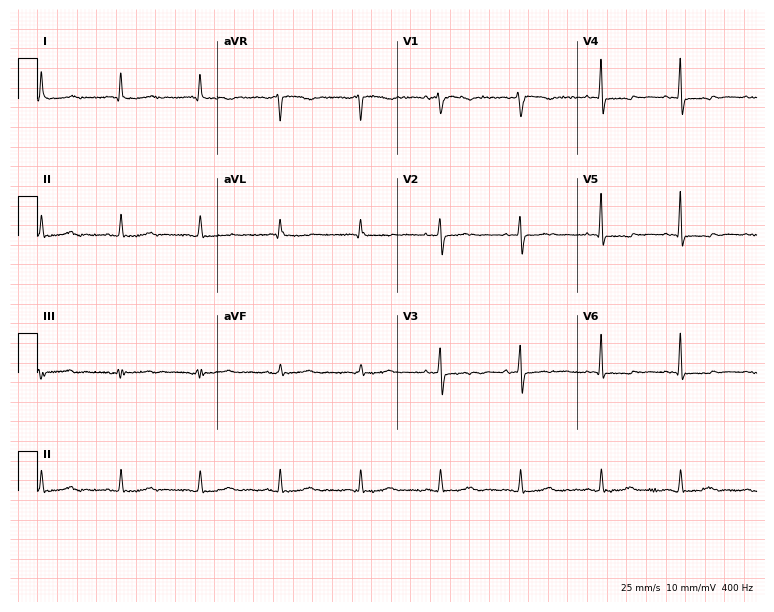
Electrocardiogram, an 85-year-old woman. Of the six screened findings (first-degree AV block, right bundle branch block (RBBB), left bundle branch block (LBBB), sinus bradycardia, atrial fibrillation (AF), sinus tachycardia), none is recorded. Other findings, if any, are not listed.